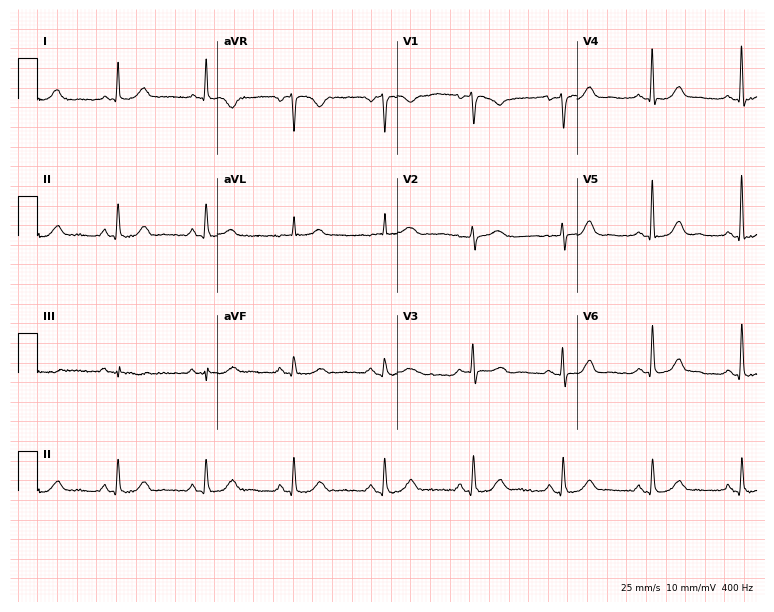
Resting 12-lead electrocardiogram. Patient: a female, 61 years old. None of these six findings is recorded: first-degree AV block, right bundle branch block, left bundle branch block, sinus bradycardia, atrial fibrillation, sinus tachycardia. Findings outside these six are not listed.